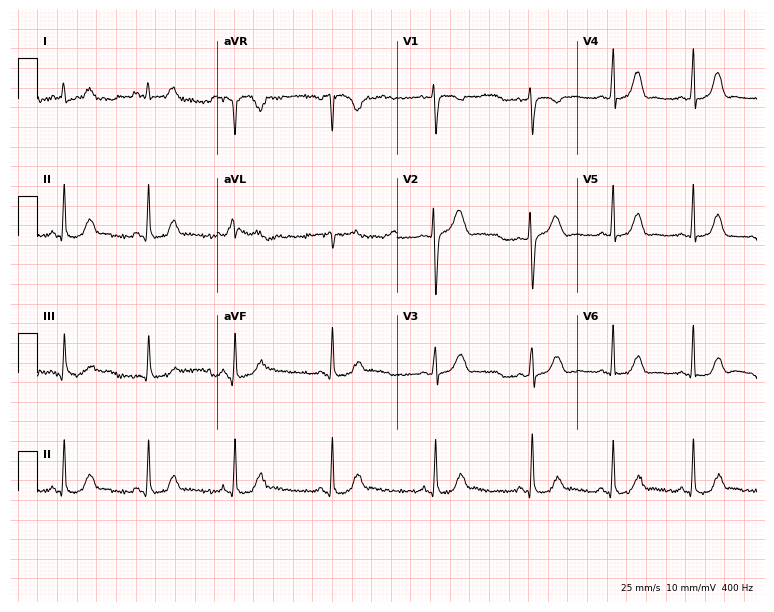
Electrocardiogram, a woman, 23 years old. Overall reading on record: normal ECG.